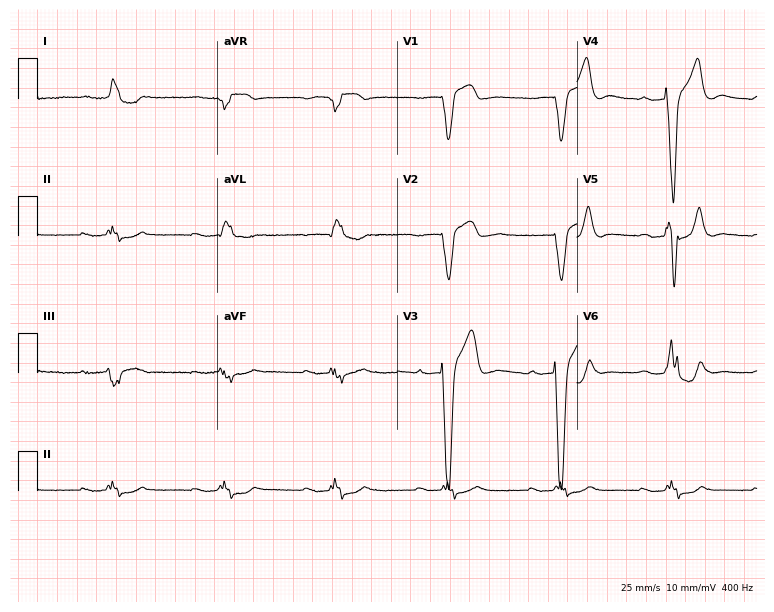
12-lead ECG from a male, 83 years old (7.3-second recording at 400 Hz). Shows first-degree AV block, left bundle branch block.